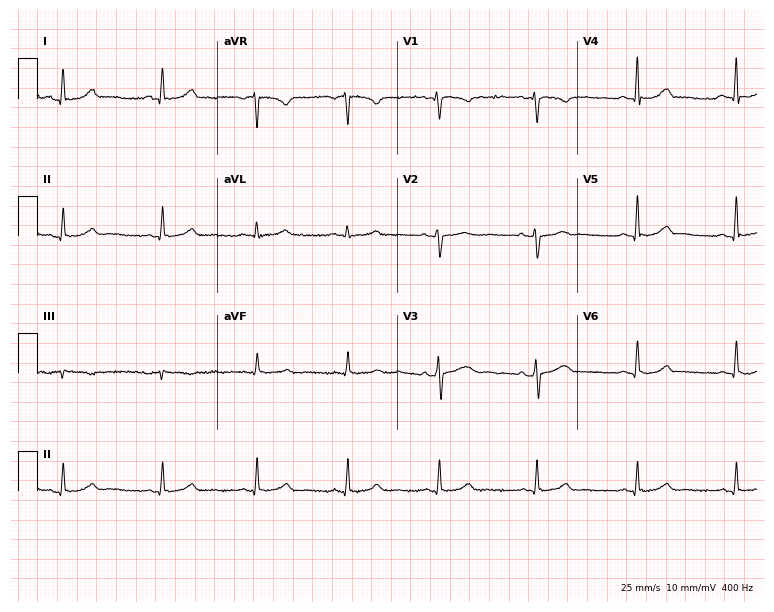
ECG — a 43-year-old female patient. Labelled as a normal ECG.